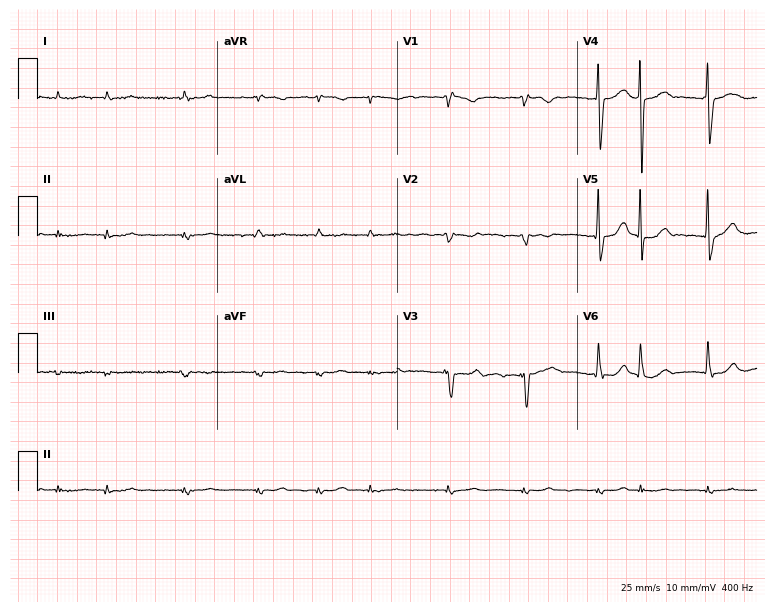
Standard 12-lead ECG recorded from an 80-year-old man. None of these six findings is recorded: first-degree AV block, right bundle branch block (RBBB), left bundle branch block (LBBB), sinus bradycardia, atrial fibrillation (AF), sinus tachycardia. Other findings, if any, are not listed.